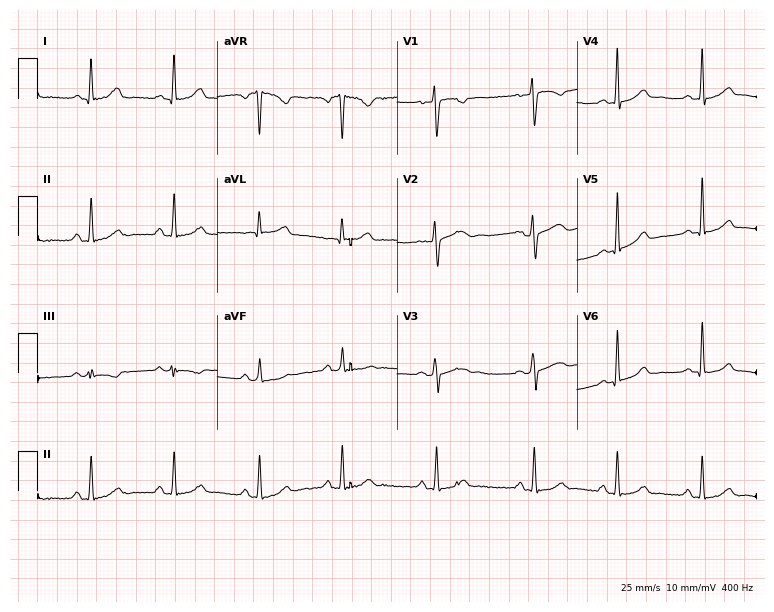
Resting 12-lead electrocardiogram (7.3-second recording at 400 Hz). Patient: a 24-year-old female. None of these six findings is recorded: first-degree AV block, right bundle branch block, left bundle branch block, sinus bradycardia, atrial fibrillation, sinus tachycardia. Findings outside these six are not listed.